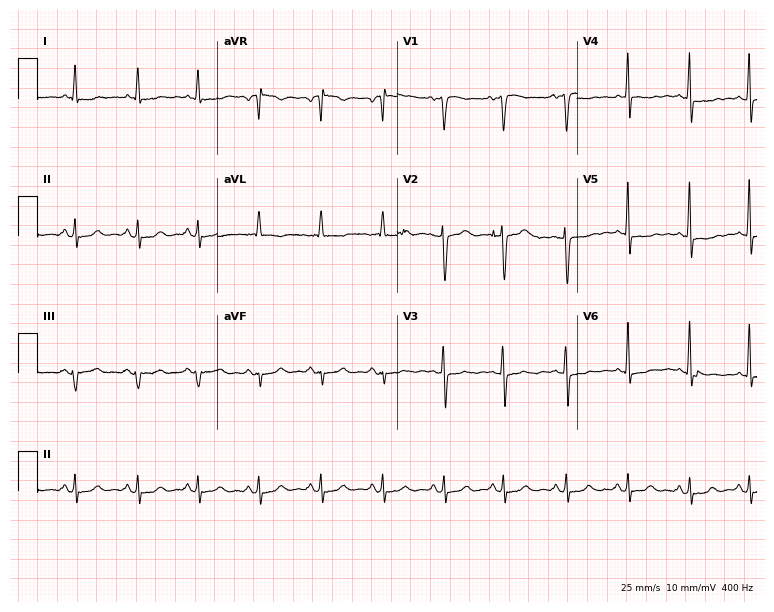
ECG — a 60-year-old female patient. Screened for six findings — first-degree AV block, right bundle branch block, left bundle branch block, sinus bradycardia, atrial fibrillation, sinus tachycardia — none is recorded. Findings outside these six are not listed.